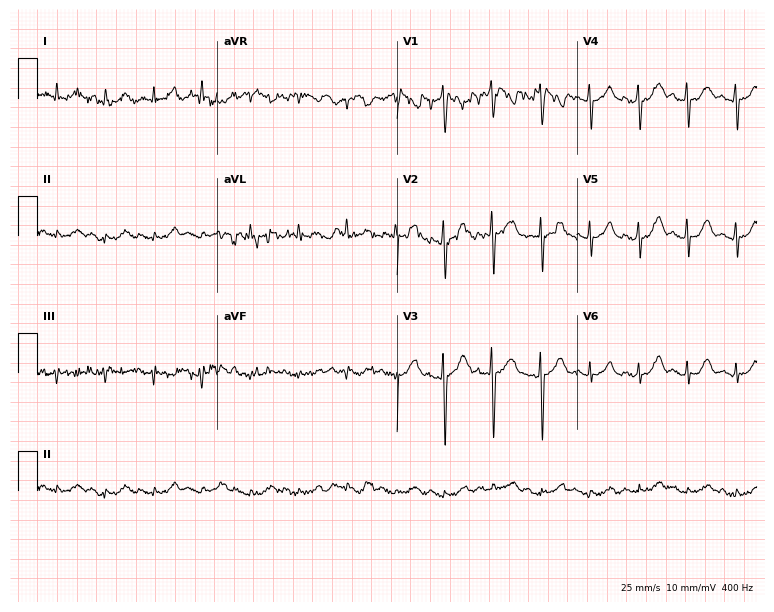
12-lead ECG from a 33-year-old man (7.3-second recording at 400 Hz). No first-degree AV block, right bundle branch block, left bundle branch block, sinus bradycardia, atrial fibrillation or sinus tachycardia recorded for this tracing.